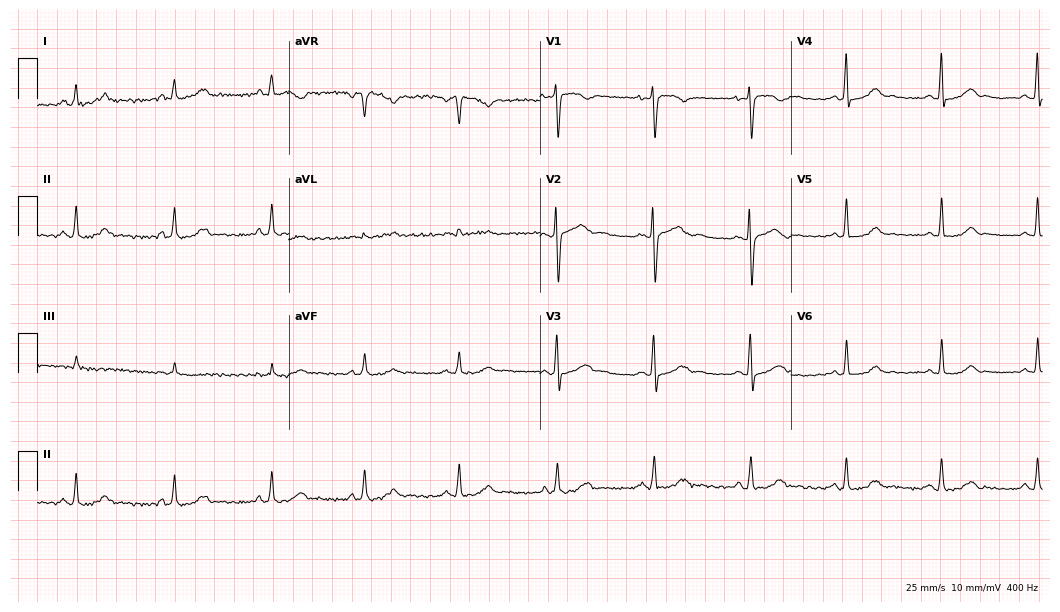
ECG (10.2-second recording at 400 Hz) — a female patient, 27 years old. Labelled as a normal ECG.